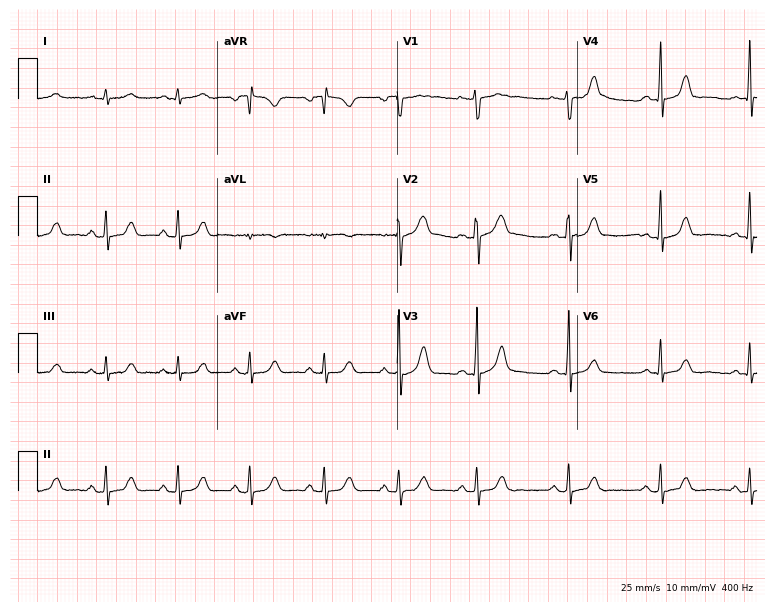
12-lead ECG from a 30-year-old female. Recorded interpretation: within normal limits.